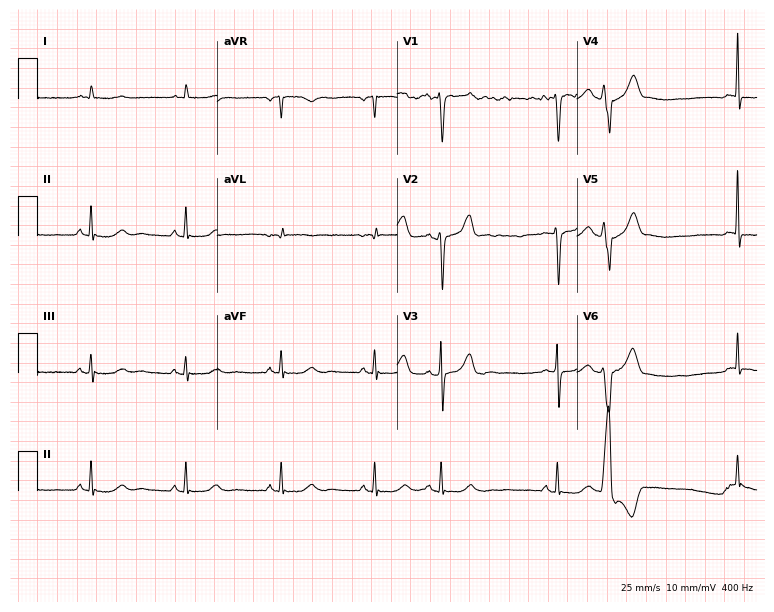
Electrocardiogram, a male, 78 years old. Of the six screened findings (first-degree AV block, right bundle branch block, left bundle branch block, sinus bradycardia, atrial fibrillation, sinus tachycardia), none is recorded.